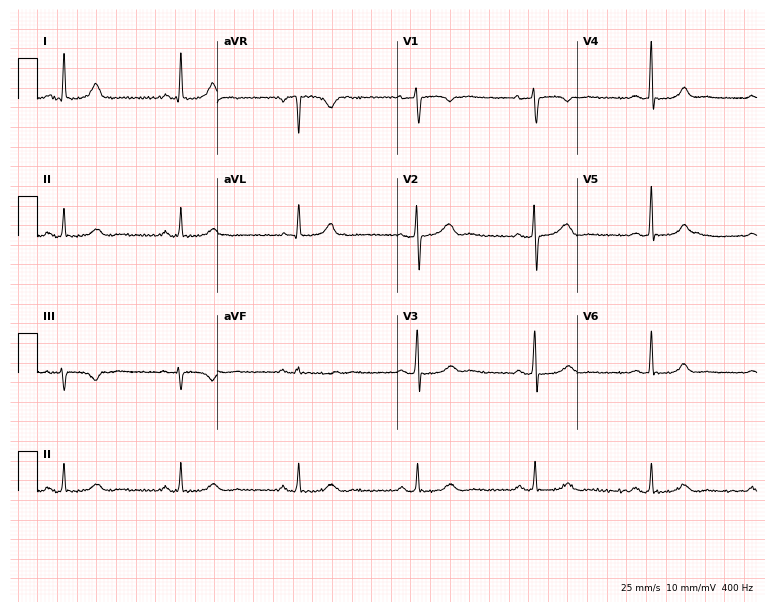
12-lead ECG (7.3-second recording at 400 Hz) from a 55-year-old woman. Labelled as a normal ECG.